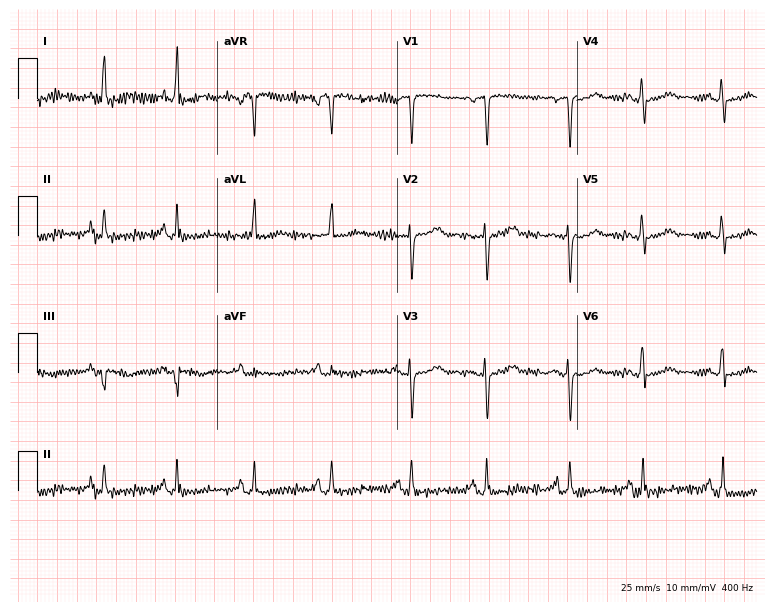
Electrocardiogram (7.3-second recording at 400 Hz), a male, 54 years old. Of the six screened findings (first-degree AV block, right bundle branch block (RBBB), left bundle branch block (LBBB), sinus bradycardia, atrial fibrillation (AF), sinus tachycardia), none is recorded. Findings outside these six are not listed.